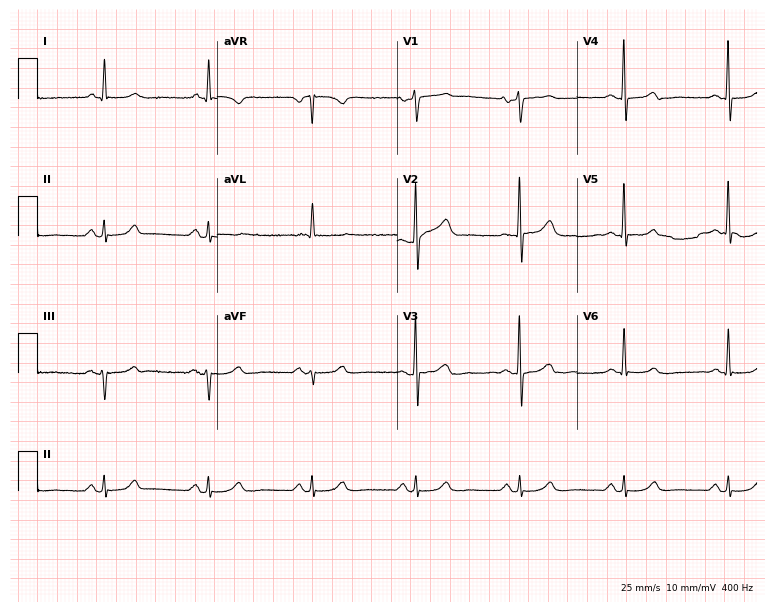
Electrocardiogram (7.3-second recording at 400 Hz), an 80-year-old man. Of the six screened findings (first-degree AV block, right bundle branch block, left bundle branch block, sinus bradycardia, atrial fibrillation, sinus tachycardia), none is recorded.